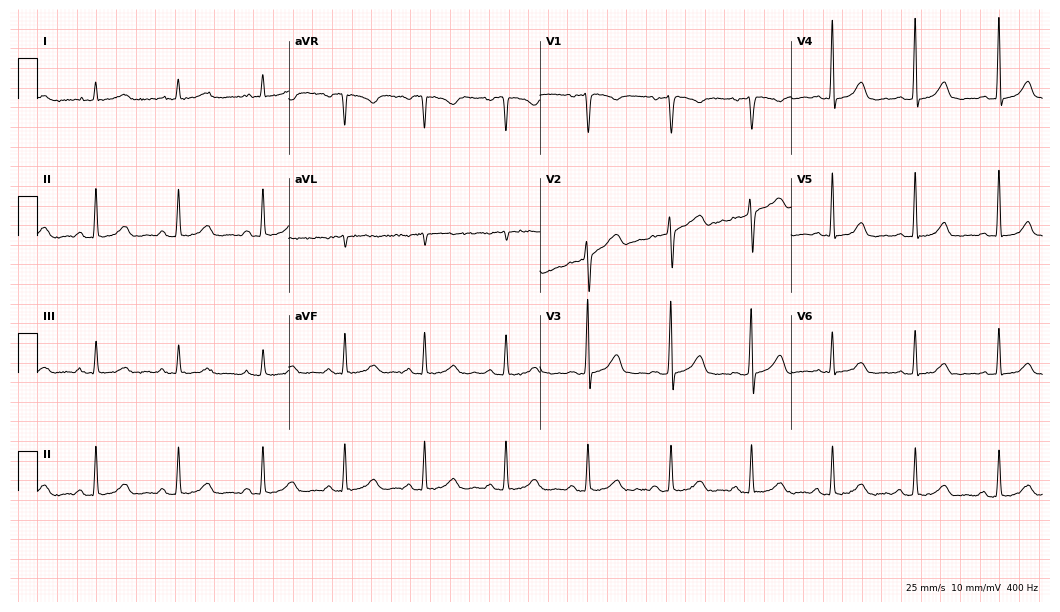
12-lead ECG (10.2-second recording at 400 Hz) from a female, 43 years old. Labelled as a normal ECG.